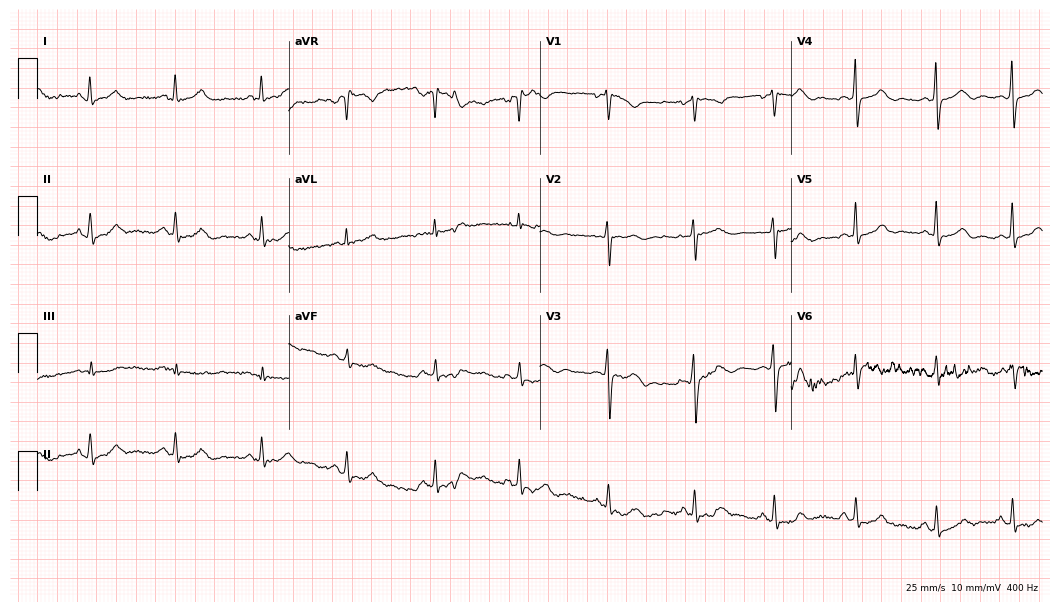
Resting 12-lead electrocardiogram. Patient: a 34-year-old female. Read as a normal ECG.